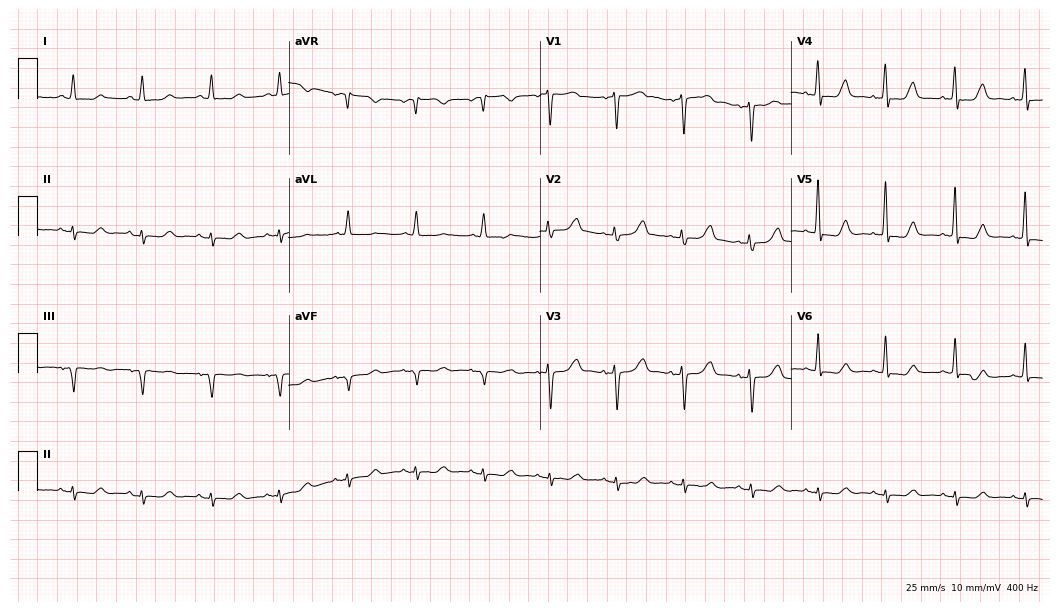
12-lead ECG (10.2-second recording at 400 Hz) from a female, 64 years old. Screened for six findings — first-degree AV block, right bundle branch block, left bundle branch block, sinus bradycardia, atrial fibrillation, sinus tachycardia — none is recorded. Other findings, if any, are not listed.